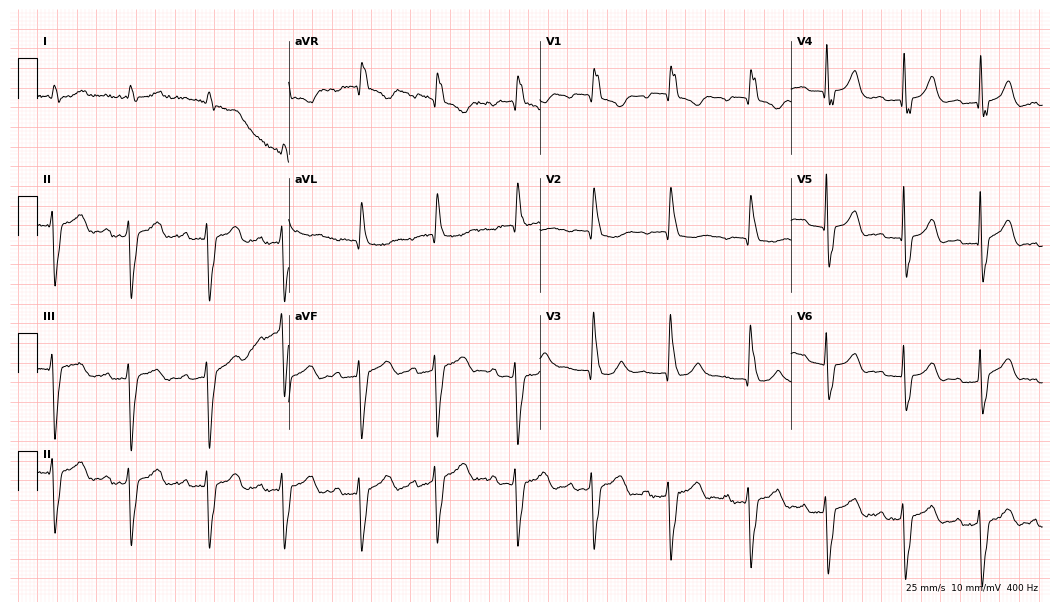
Standard 12-lead ECG recorded from an 82-year-old male (10.2-second recording at 400 Hz). None of these six findings is recorded: first-degree AV block, right bundle branch block, left bundle branch block, sinus bradycardia, atrial fibrillation, sinus tachycardia. Other findings, if any, are not listed.